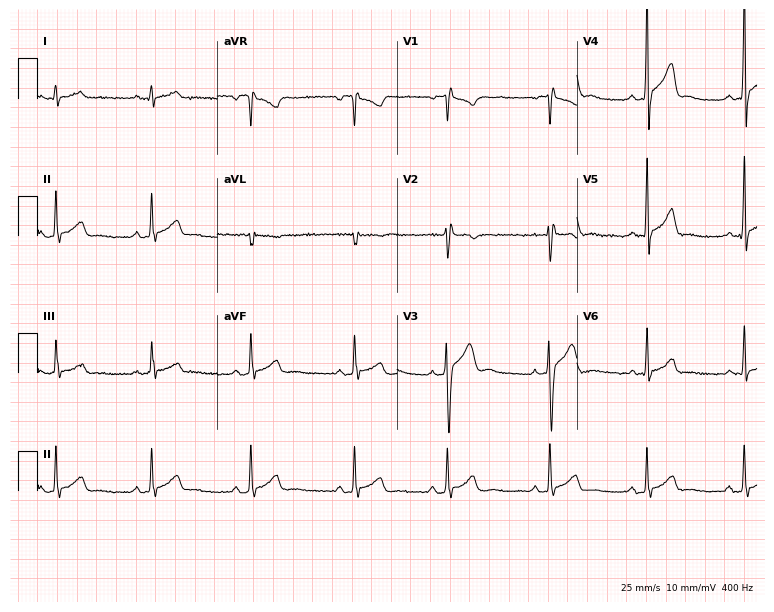
Resting 12-lead electrocardiogram. Patient: a 19-year-old male. Read as a normal ECG.